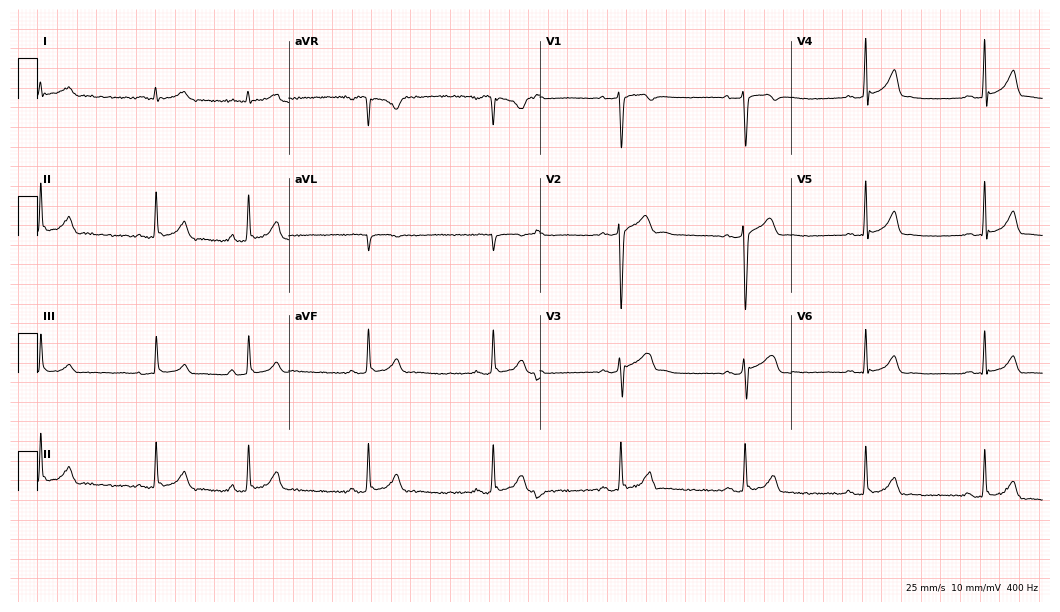
Electrocardiogram, a male patient, 18 years old. Of the six screened findings (first-degree AV block, right bundle branch block, left bundle branch block, sinus bradycardia, atrial fibrillation, sinus tachycardia), none is recorded. Findings outside these six are not listed.